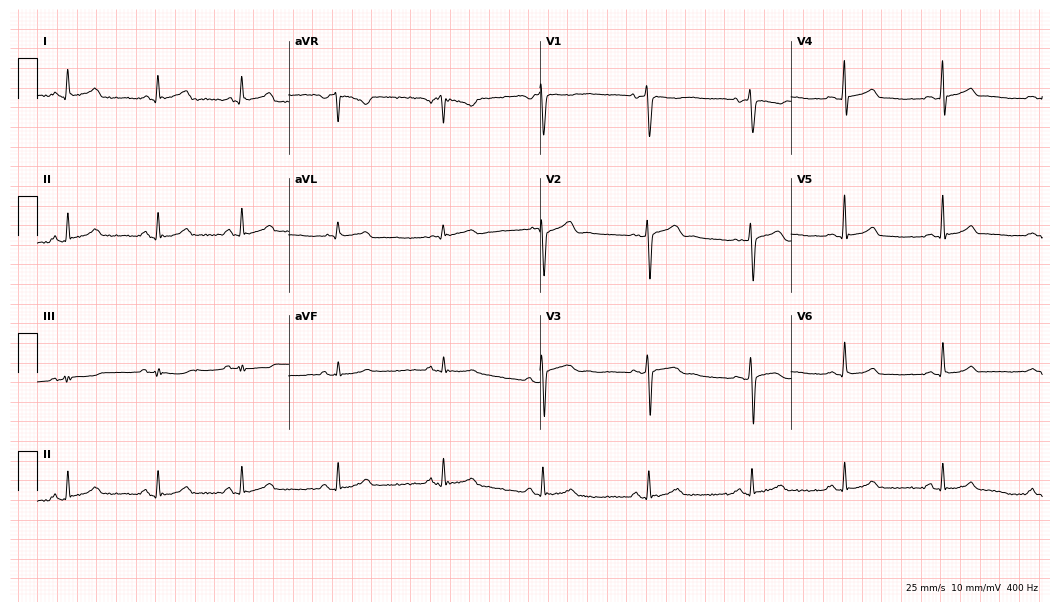
Standard 12-lead ECG recorded from a male, 20 years old (10.2-second recording at 400 Hz). Read as a normal ECG.